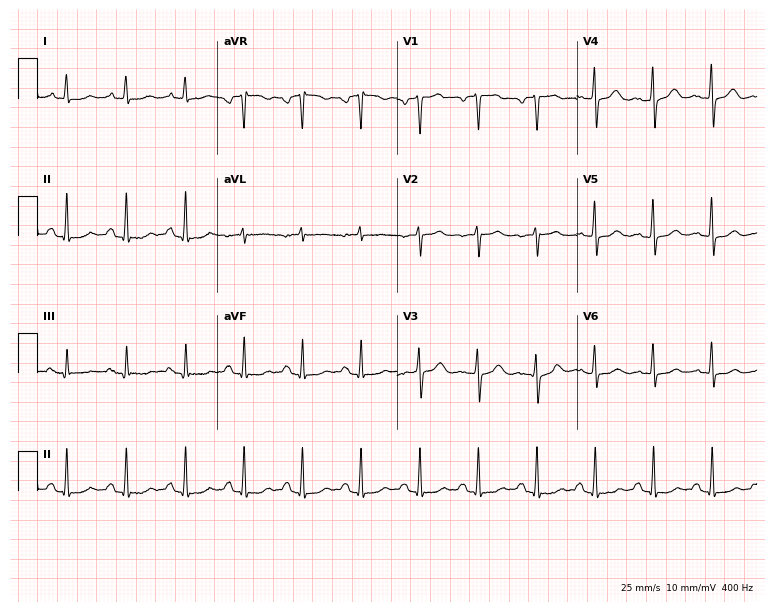
ECG (7.3-second recording at 400 Hz) — a female patient, 54 years old. Screened for six findings — first-degree AV block, right bundle branch block, left bundle branch block, sinus bradycardia, atrial fibrillation, sinus tachycardia — none is recorded. Findings outside these six are not listed.